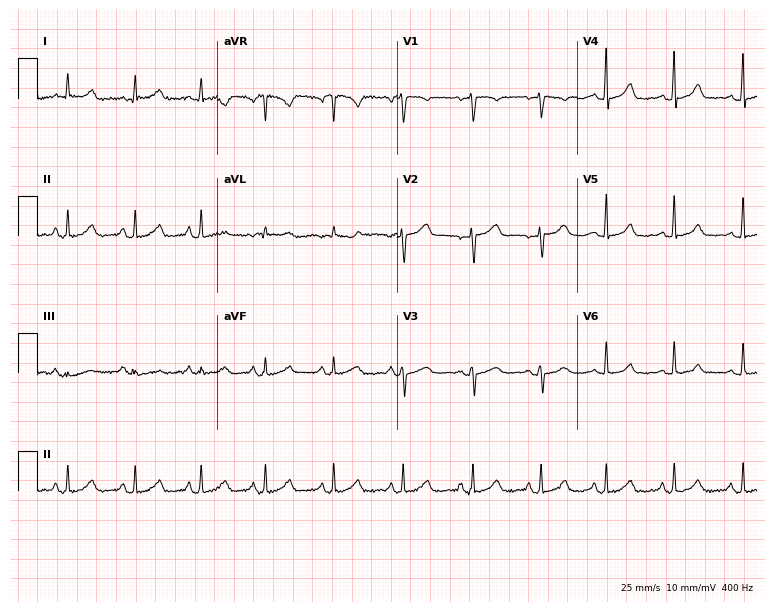
Resting 12-lead electrocardiogram (7.3-second recording at 400 Hz). Patient: a 52-year-old female. Read as a normal ECG.